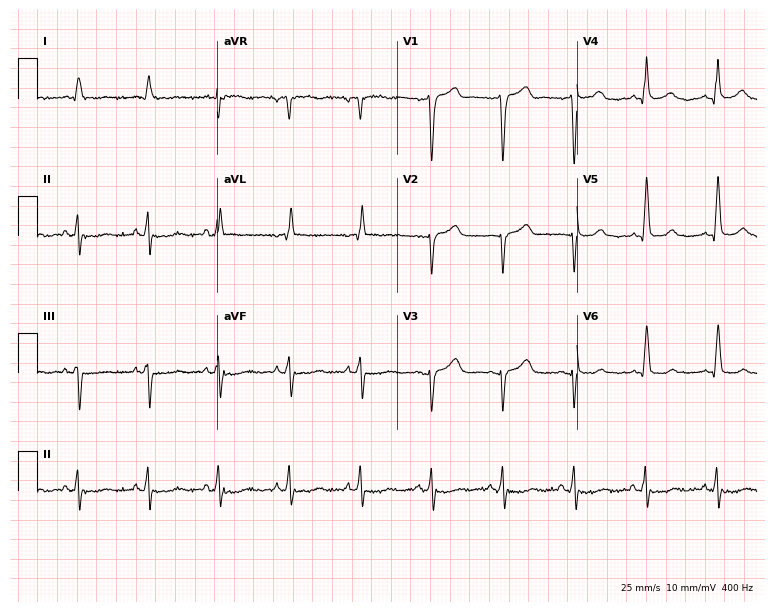
Standard 12-lead ECG recorded from a man, 67 years old. None of these six findings is recorded: first-degree AV block, right bundle branch block, left bundle branch block, sinus bradycardia, atrial fibrillation, sinus tachycardia. Only these six findings were labelled.